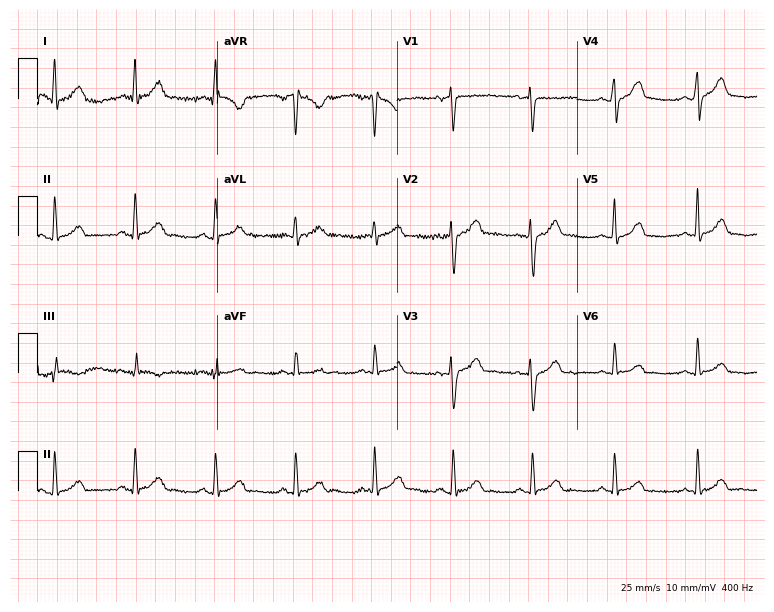
12-lead ECG (7.3-second recording at 400 Hz) from a male patient, 39 years old. Labelled as a normal ECG.